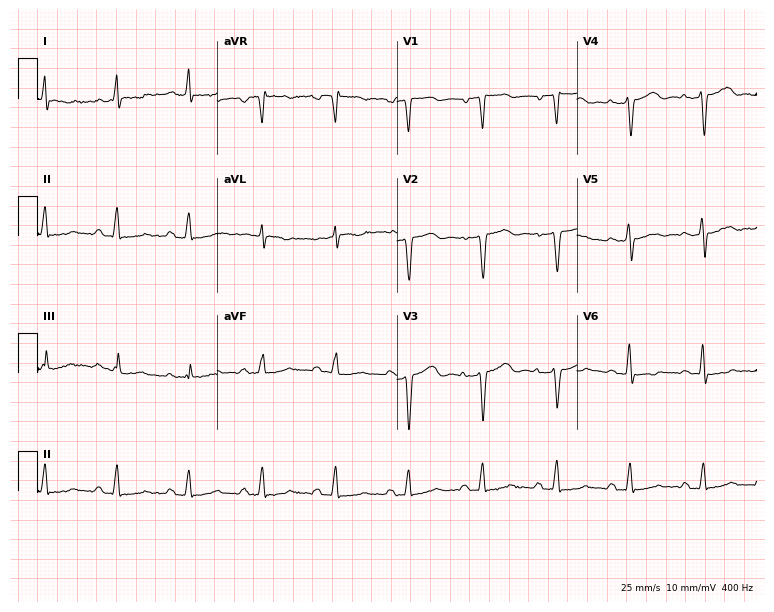
Electrocardiogram (7.3-second recording at 400 Hz), a man, 60 years old. Of the six screened findings (first-degree AV block, right bundle branch block (RBBB), left bundle branch block (LBBB), sinus bradycardia, atrial fibrillation (AF), sinus tachycardia), none is recorded. Only these six findings were labelled.